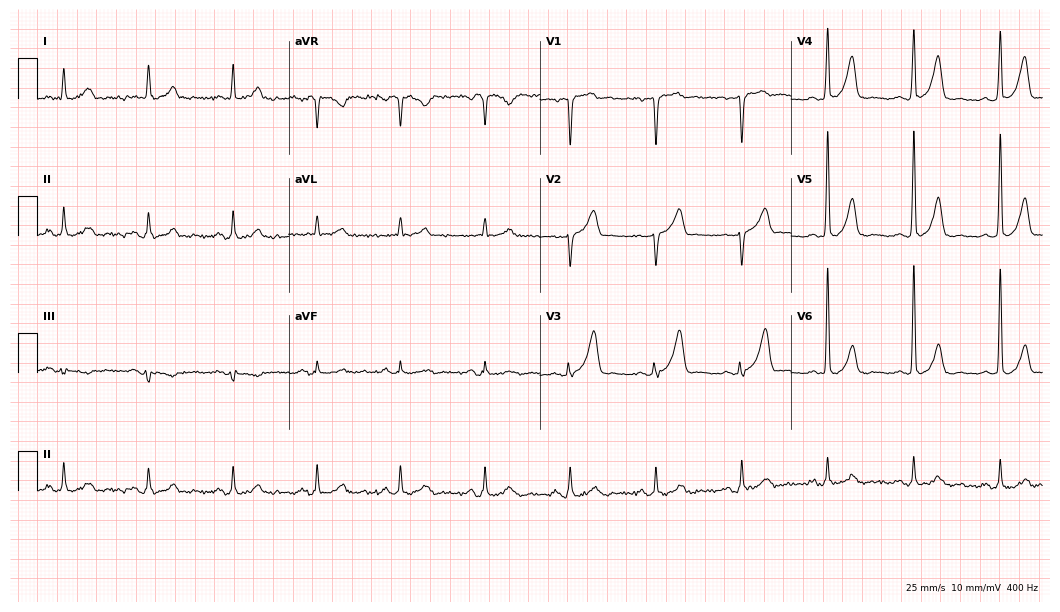
Resting 12-lead electrocardiogram (10.2-second recording at 400 Hz). Patient: a male, 70 years old. Read as a normal ECG.